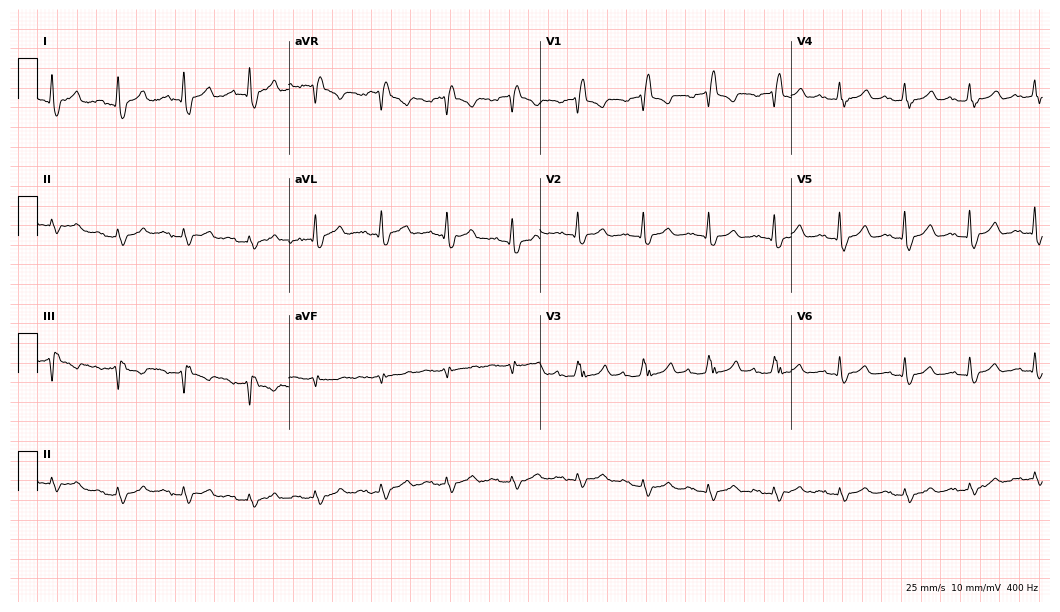
ECG — a man, 81 years old. Findings include right bundle branch block (RBBB).